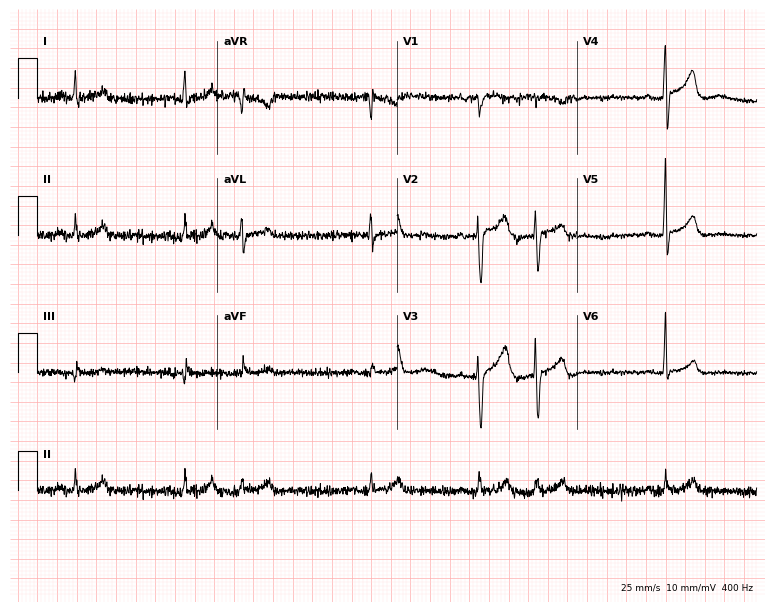
ECG (7.3-second recording at 400 Hz) — a male patient, 68 years old. Screened for six findings — first-degree AV block, right bundle branch block, left bundle branch block, sinus bradycardia, atrial fibrillation, sinus tachycardia — none is recorded.